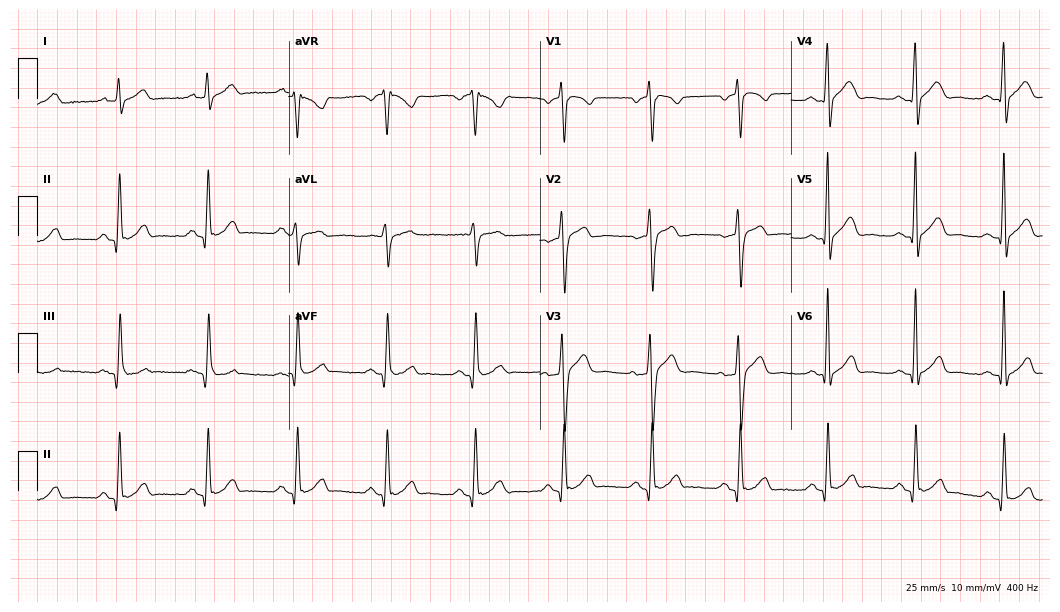
12-lead ECG (10.2-second recording at 400 Hz) from a male, 50 years old. Screened for six findings — first-degree AV block, right bundle branch block, left bundle branch block, sinus bradycardia, atrial fibrillation, sinus tachycardia — none is recorded. Only these six findings were labelled.